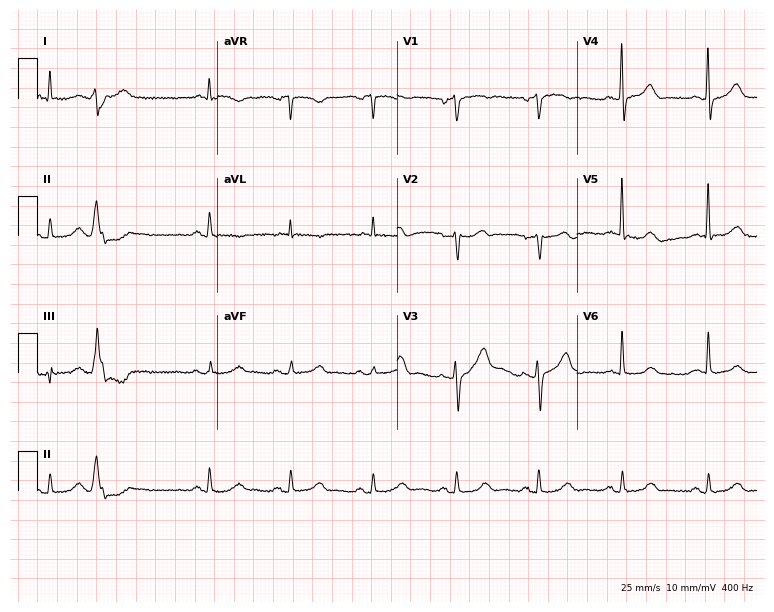
Resting 12-lead electrocardiogram. Patient: a male, 78 years old. None of these six findings is recorded: first-degree AV block, right bundle branch block, left bundle branch block, sinus bradycardia, atrial fibrillation, sinus tachycardia. Only these six findings were labelled.